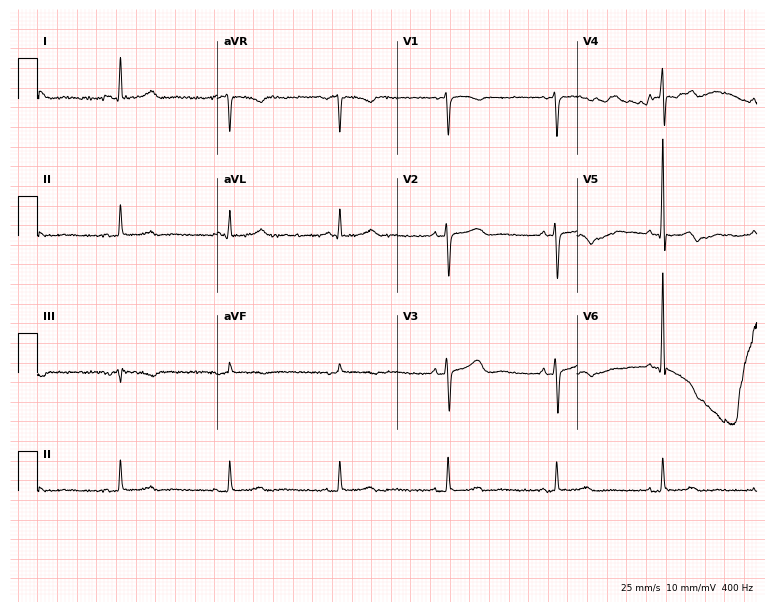
12-lead ECG from a 76-year-old female (7.3-second recording at 400 Hz). No first-degree AV block, right bundle branch block (RBBB), left bundle branch block (LBBB), sinus bradycardia, atrial fibrillation (AF) or sinus tachycardia recorded for this tracing.